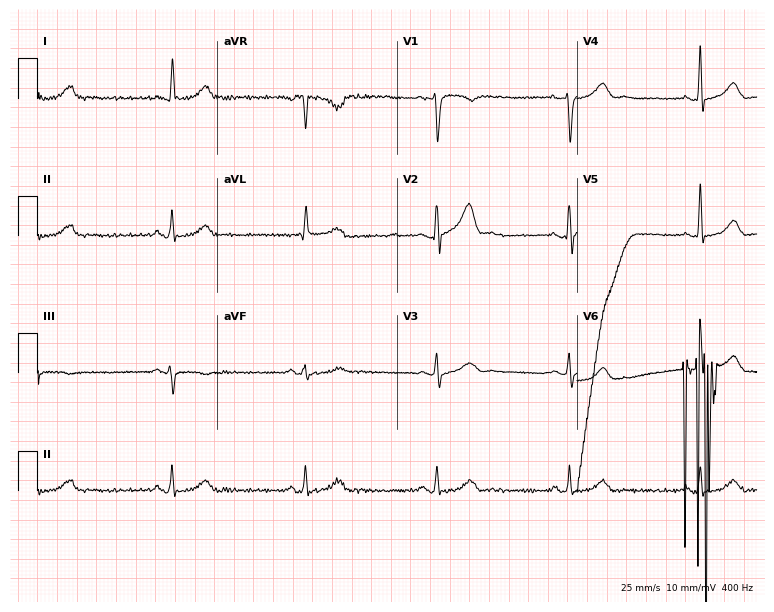
12-lead ECG from a 68-year-old male patient. Screened for six findings — first-degree AV block, right bundle branch block, left bundle branch block, sinus bradycardia, atrial fibrillation, sinus tachycardia — none is recorded.